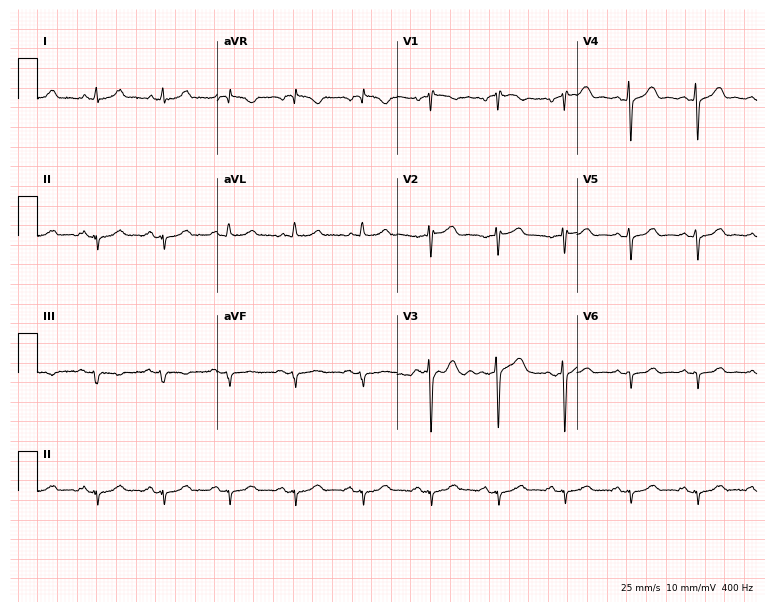
Electrocardiogram (7.3-second recording at 400 Hz), a male patient, 71 years old. Of the six screened findings (first-degree AV block, right bundle branch block, left bundle branch block, sinus bradycardia, atrial fibrillation, sinus tachycardia), none is recorded.